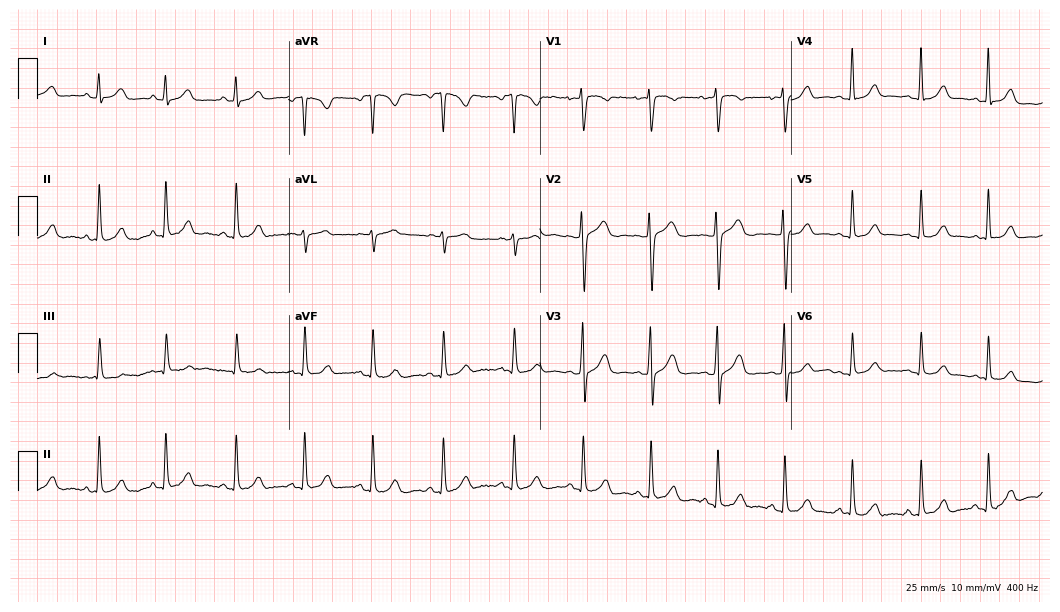
12-lead ECG from a 27-year-old female patient. Labelled as a normal ECG.